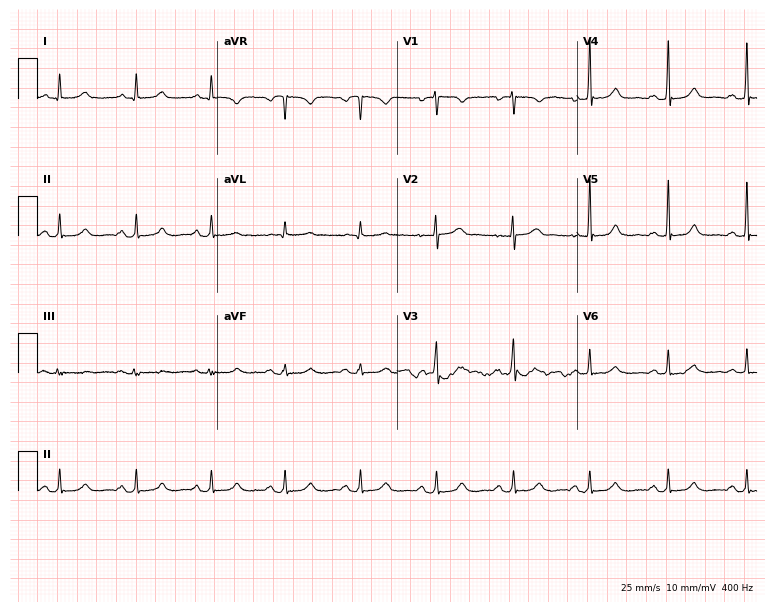
12-lead ECG from a 50-year-old woman (7.3-second recording at 400 Hz). Recorded interpretation: within normal limits.